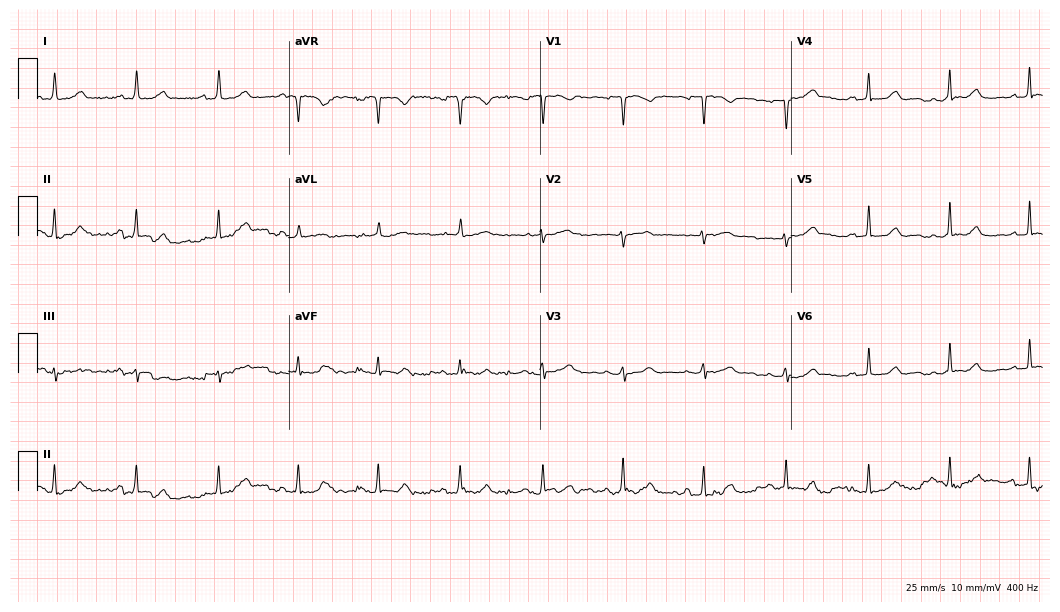
Electrocardiogram (10.2-second recording at 400 Hz), a 44-year-old female patient. Overall reading on record: normal ECG.